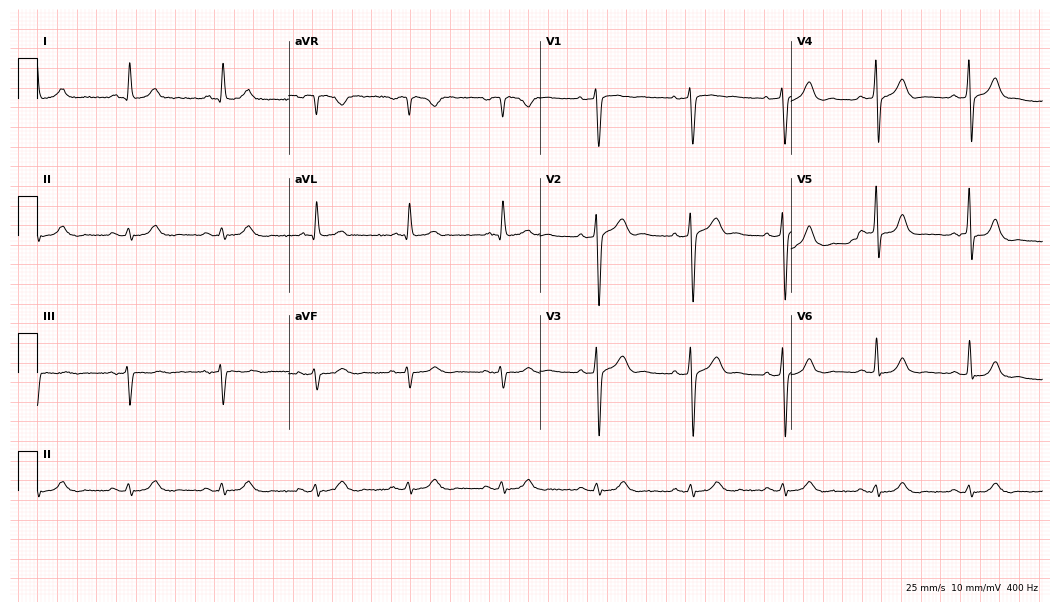
12-lead ECG from a 75-year-old male. Labelled as a normal ECG.